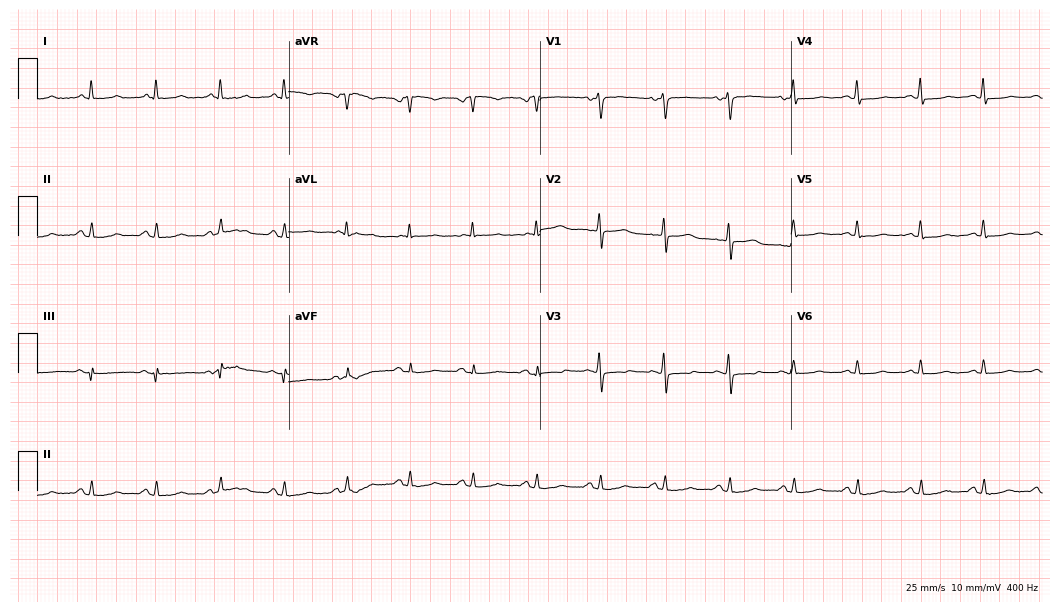
12-lead ECG from a 43-year-old female patient (10.2-second recording at 400 Hz). No first-degree AV block, right bundle branch block, left bundle branch block, sinus bradycardia, atrial fibrillation or sinus tachycardia recorded for this tracing.